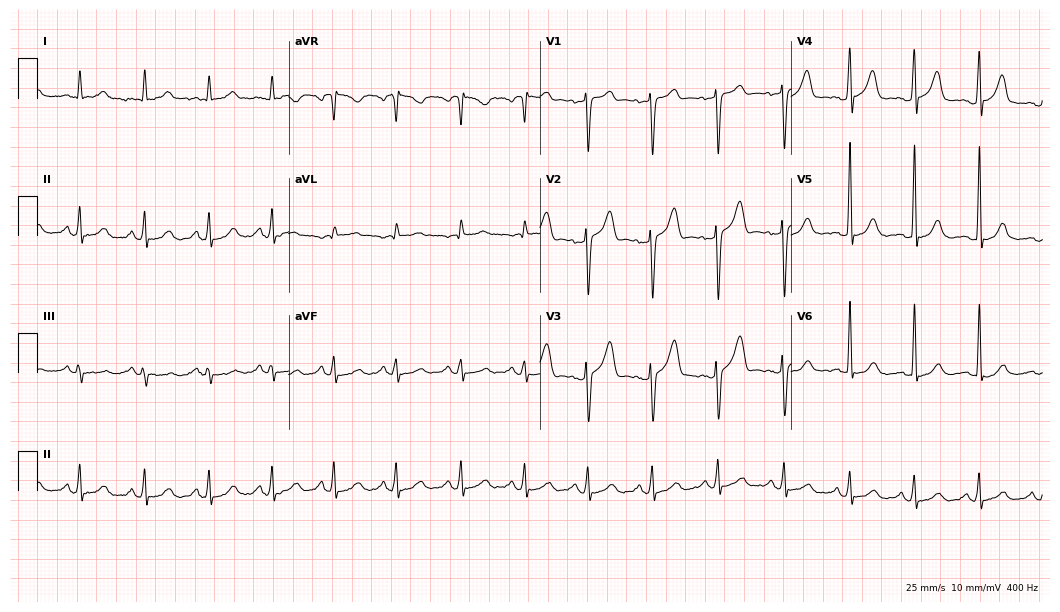
Electrocardiogram (10.2-second recording at 400 Hz), a male, 48 years old. Overall reading on record: normal ECG.